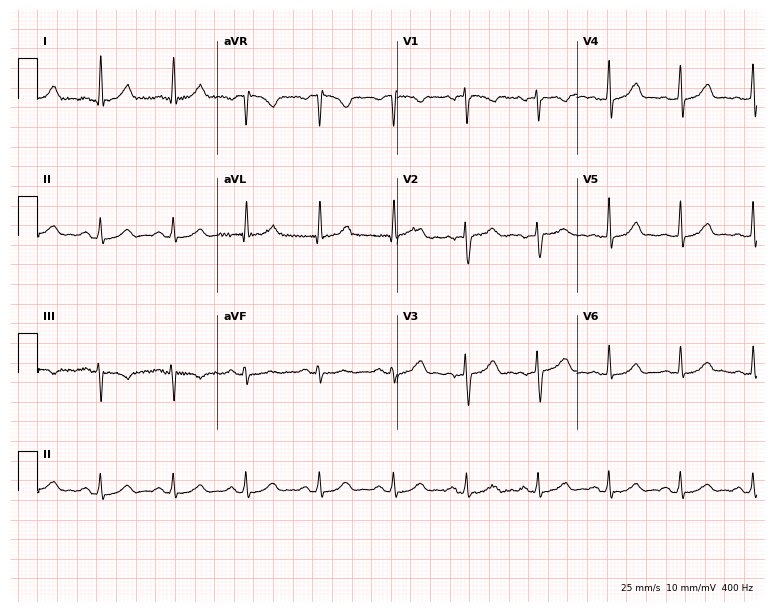
12-lead ECG from a female patient, 52 years old. Labelled as a normal ECG.